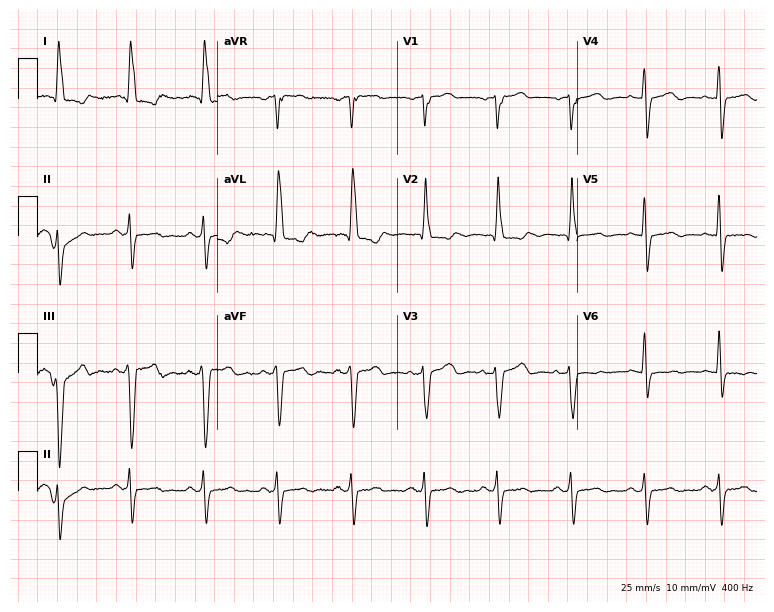
Resting 12-lead electrocardiogram (7.3-second recording at 400 Hz). Patient: an 87-year-old female. None of these six findings is recorded: first-degree AV block, right bundle branch block (RBBB), left bundle branch block (LBBB), sinus bradycardia, atrial fibrillation (AF), sinus tachycardia.